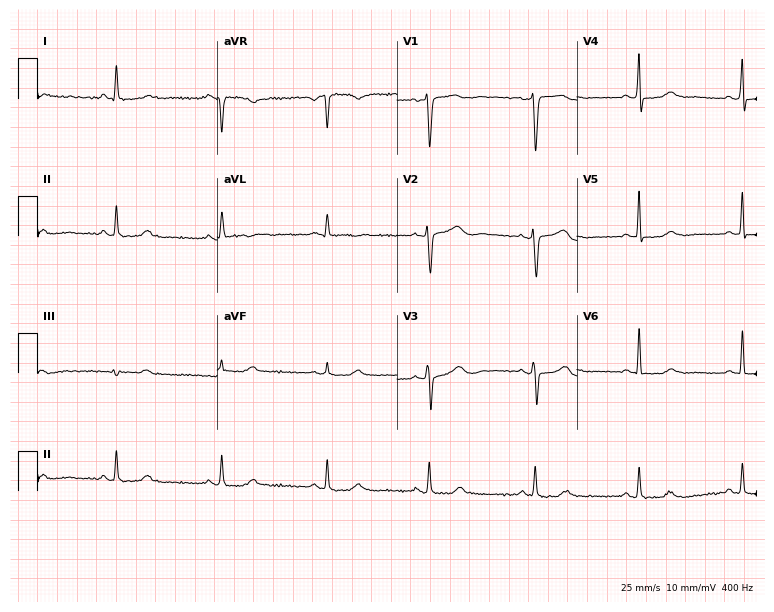
12-lead ECG from a 41-year-old female patient. No first-degree AV block, right bundle branch block, left bundle branch block, sinus bradycardia, atrial fibrillation or sinus tachycardia recorded for this tracing. Only these six findings were labelled.